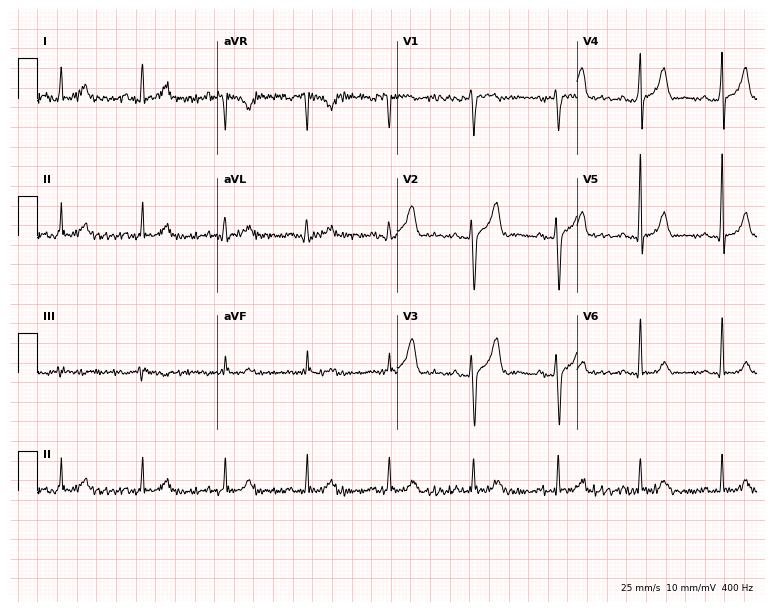
12-lead ECG from a 39-year-old male patient. Labelled as a normal ECG.